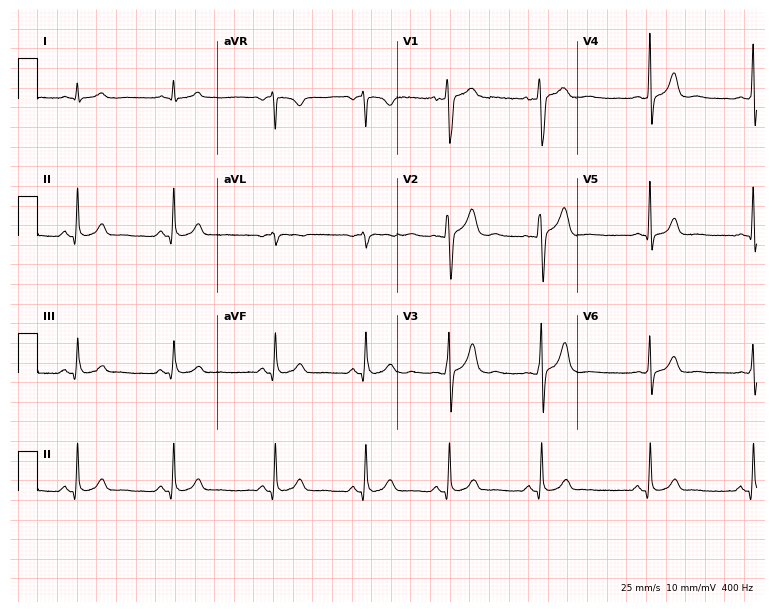
Resting 12-lead electrocardiogram (7.3-second recording at 400 Hz). Patient: a man, 30 years old. None of these six findings is recorded: first-degree AV block, right bundle branch block (RBBB), left bundle branch block (LBBB), sinus bradycardia, atrial fibrillation (AF), sinus tachycardia. Only these six findings were labelled.